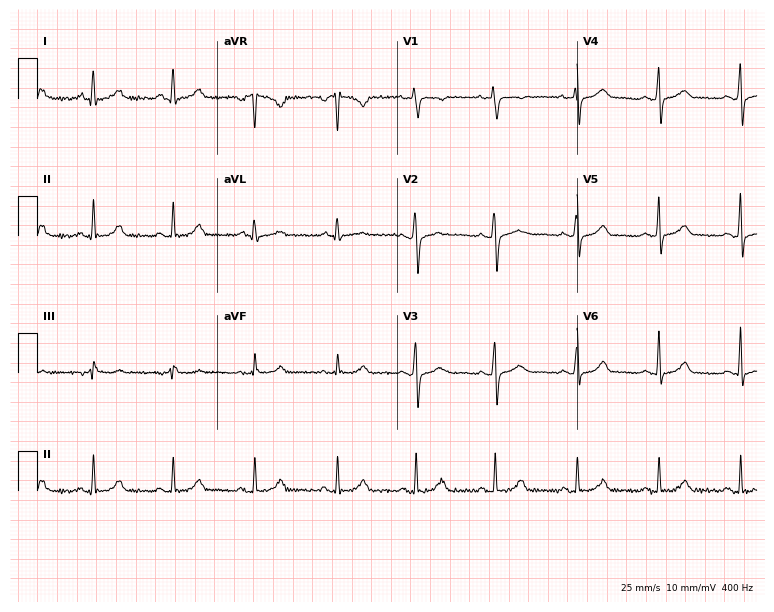
ECG — a 32-year-old woman. Labelled as a normal ECG.